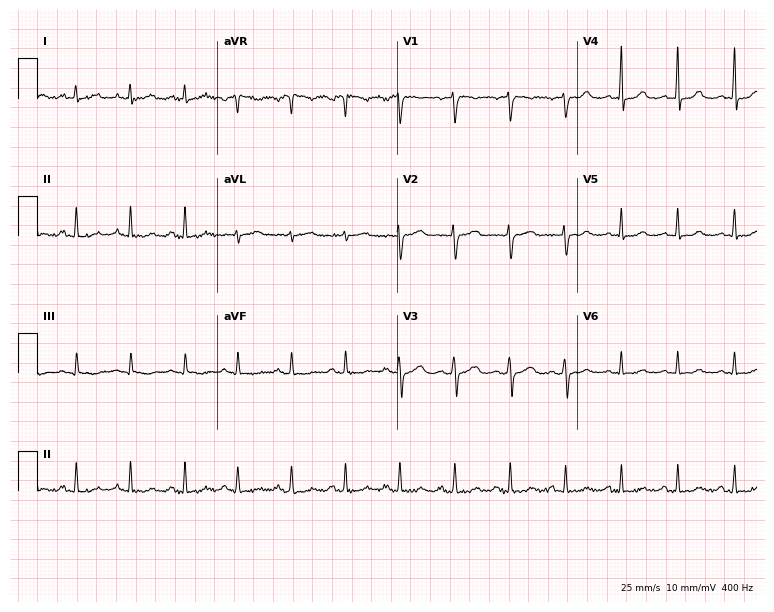
Electrocardiogram (7.3-second recording at 400 Hz), a 31-year-old woman. Interpretation includes sinus tachycardia (a sinus rate of 100 beats per minute or more).